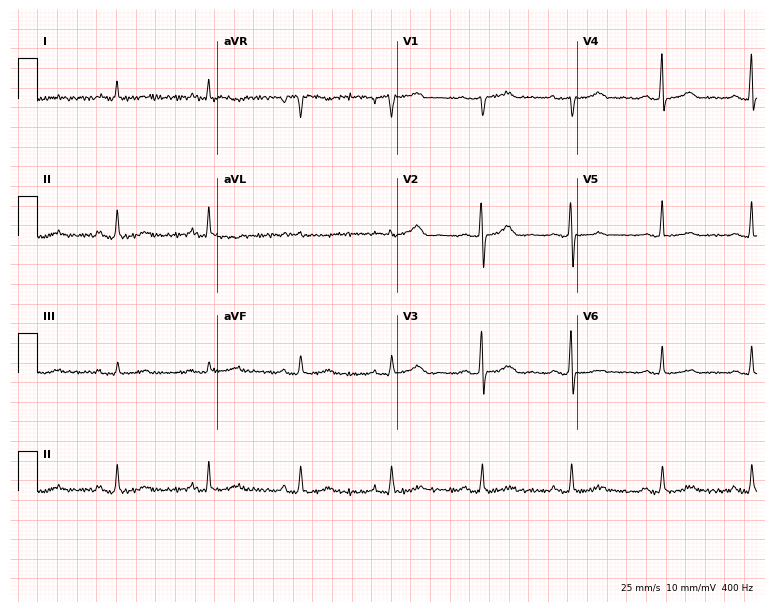
ECG — a man, 19 years old. Screened for six findings — first-degree AV block, right bundle branch block, left bundle branch block, sinus bradycardia, atrial fibrillation, sinus tachycardia — none is recorded. Findings outside these six are not listed.